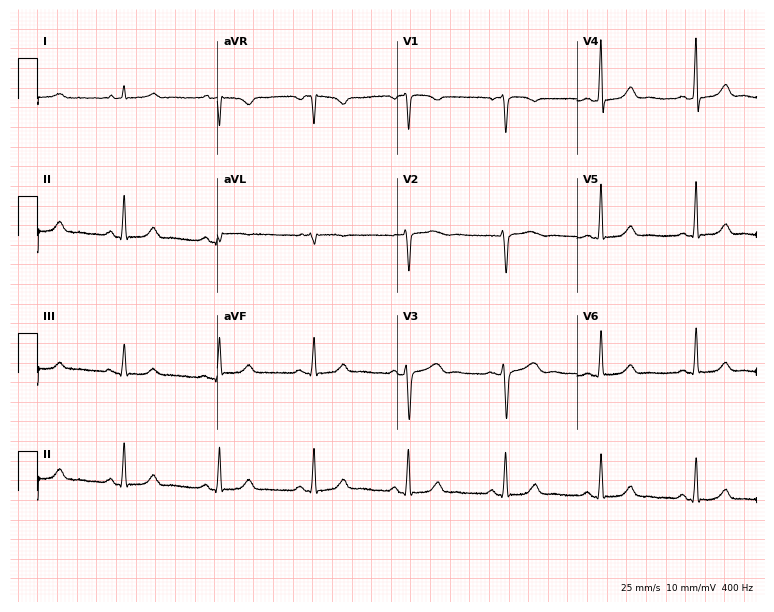
ECG (7.3-second recording at 400 Hz) — a female patient, 55 years old. Screened for six findings — first-degree AV block, right bundle branch block (RBBB), left bundle branch block (LBBB), sinus bradycardia, atrial fibrillation (AF), sinus tachycardia — none is recorded.